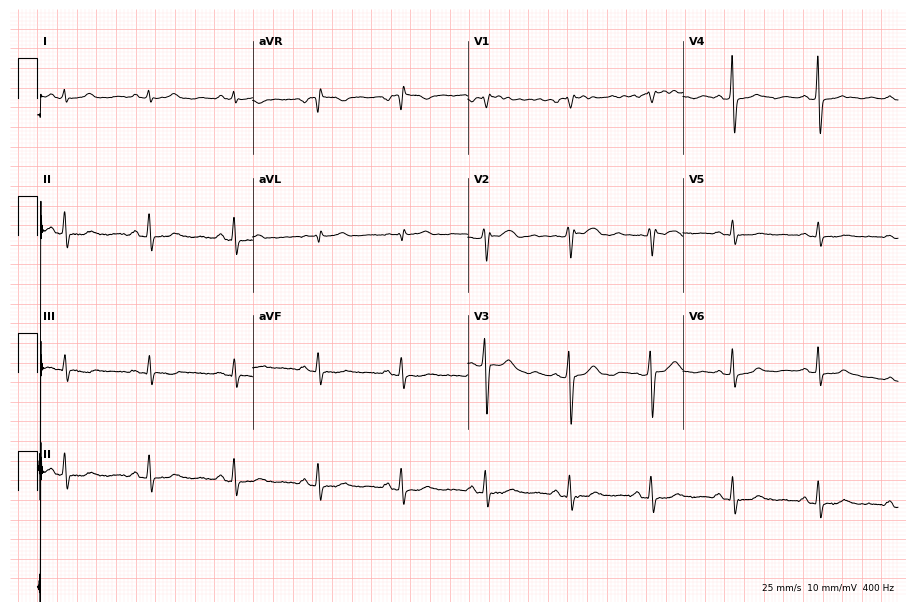
Electrocardiogram, a 49-year-old female patient. Of the six screened findings (first-degree AV block, right bundle branch block, left bundle branch block, sinus bradycardia, atrial fibrillation, sinus tachycardia), none is recorded.